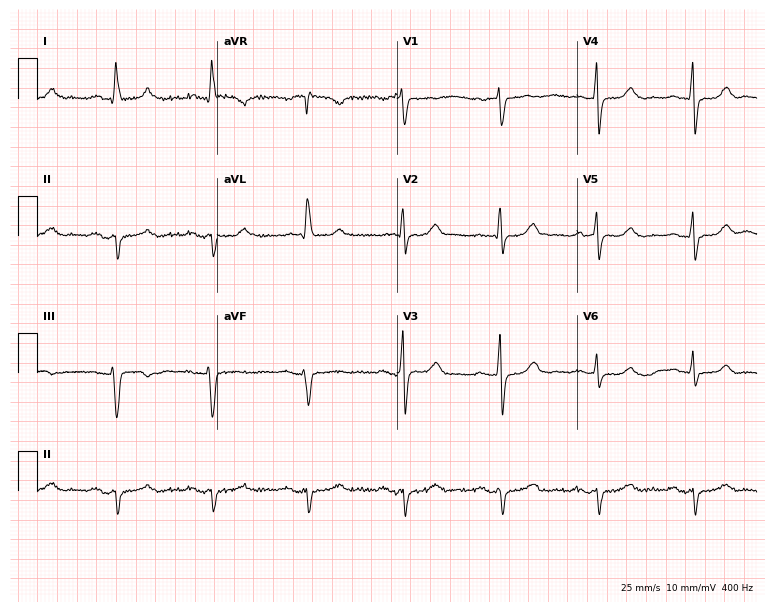
12-lead ECG from a male patient, 80 years old. Shows left bundle branch block (LBBB).